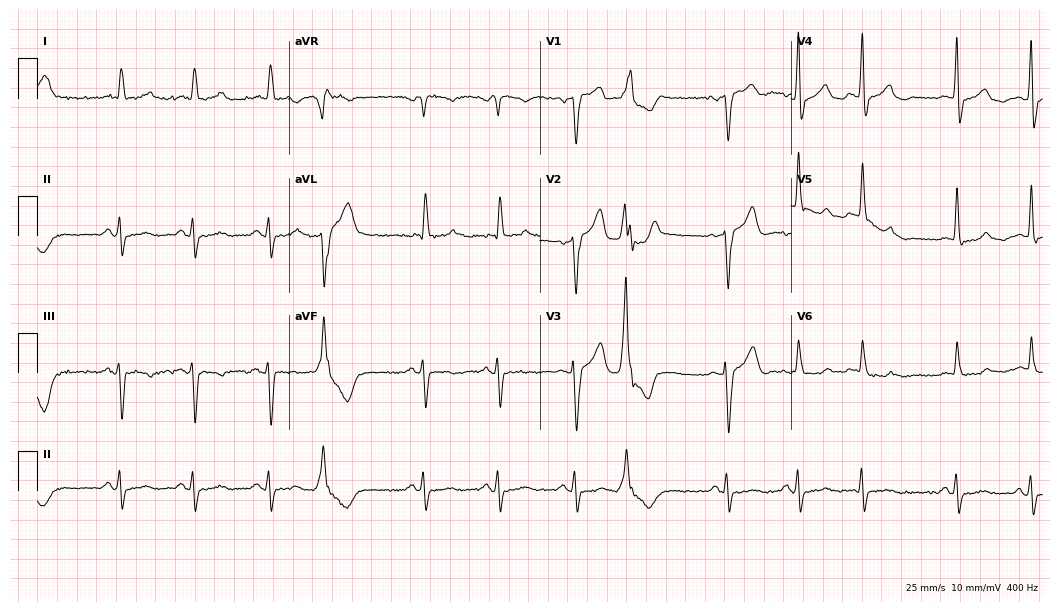
12-lead ECG from a male patient, 75 years old (10.2-second recording at 400 Hz). No first-degree AV block, right bundle branch block (RBBB), left bundle branch block (LBBB), sinus bradycardia, atrial fibrillation (AF) or sinus tachycardia recorded for this tracing.